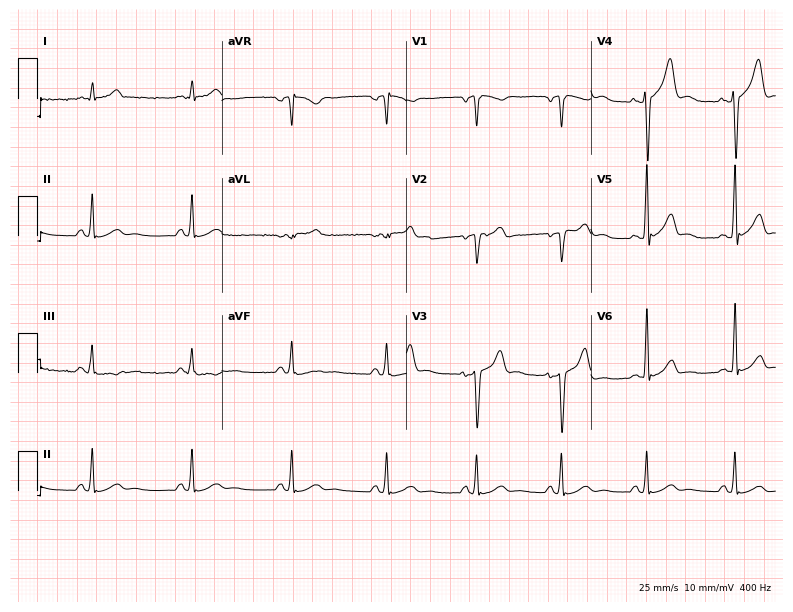
12-lead ECG from a 31-year-old male patient. Recorded interpretation: within normal limits.